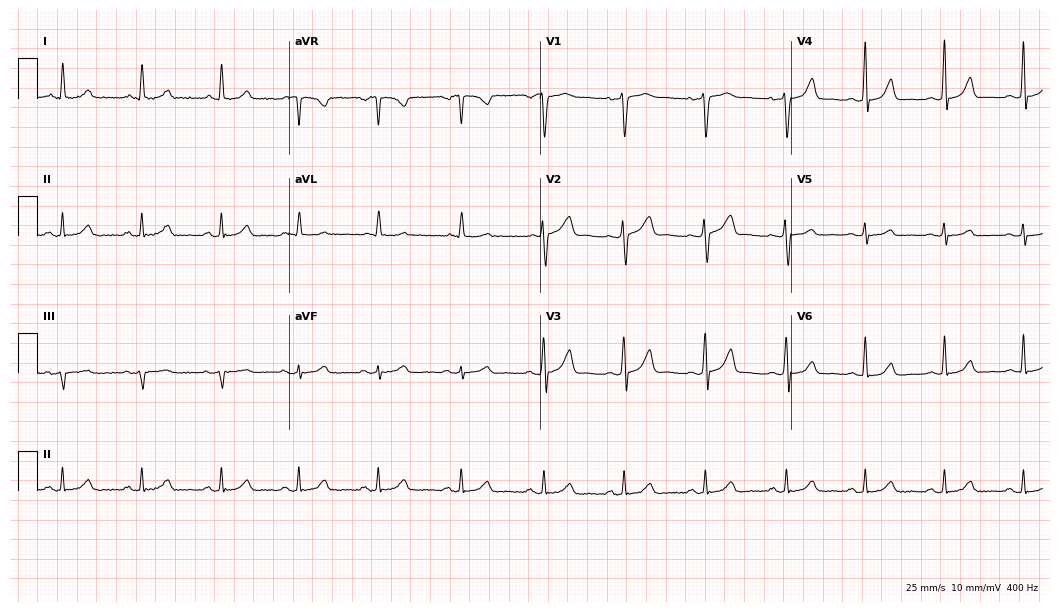
12-lead ECG from a 51-year-old woman. Recorded interpretation: within normal limits.